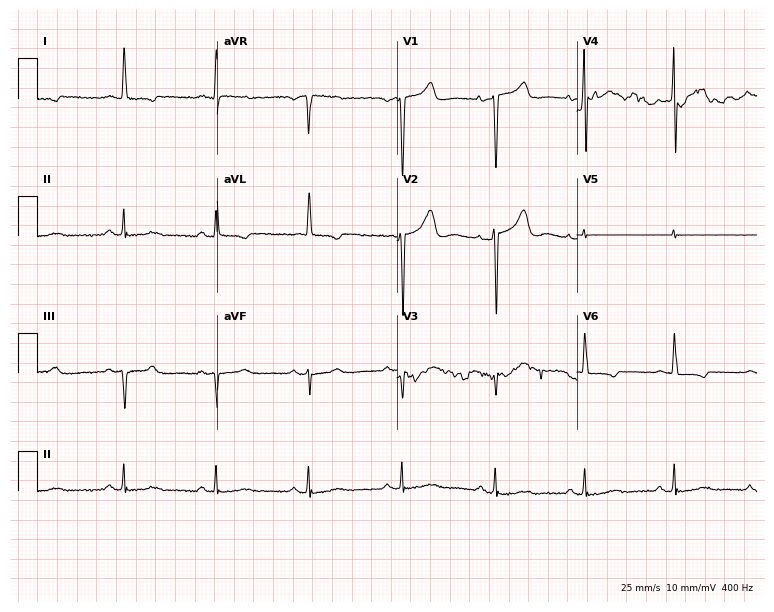
Resting 12-lead electrocardiogram (7.3-second recording at 400 Hz). Patient: a 73-year-old female. None of these six findings is recorded: first-degree AV block, right bundle branch block, left bundle branch block, sinus bradycardia, atrial fibrillation, sinus tachycardia. Only these six findings were labelled.